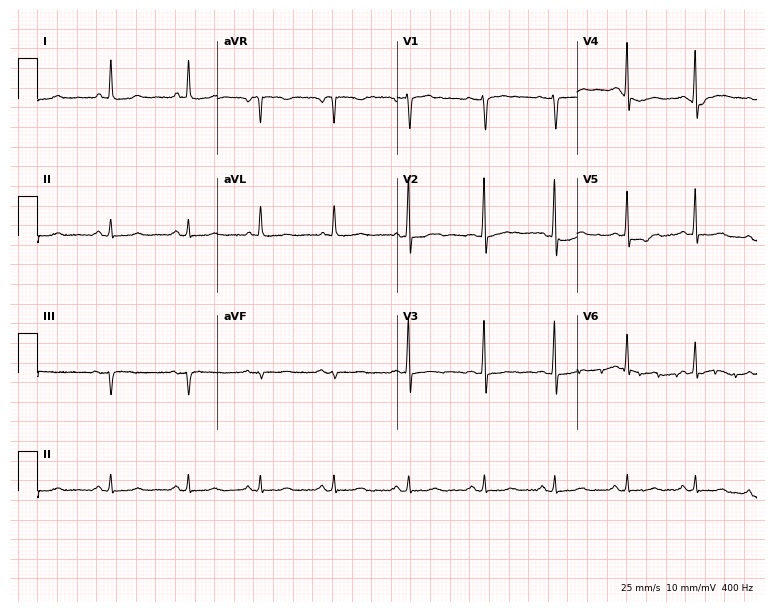
Resting 12-lead electrocardiogram (7.3-second recording at 400 Hz). Patient: a 48-year-old female. None of these six findings is recorded: first-degree AV block, right bundle branch block, left bundle branch block, sinus bradycardia, atrial fibrillation, sinus tachycardia.